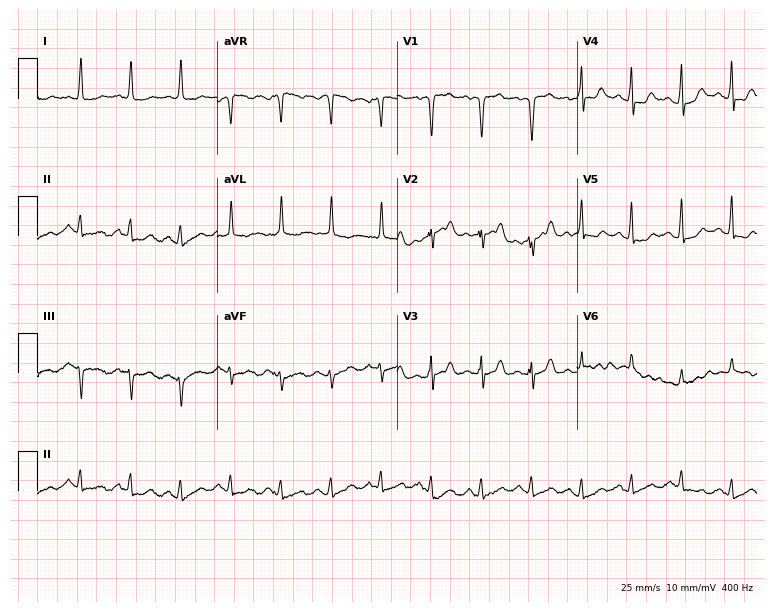
Standard 12-lead ECG recorded from a female, 53 years old (7.3-second recording at 400 Hz). The tracing shows sinus tachycardia (a sinus rate of 100 beats per minute or more).